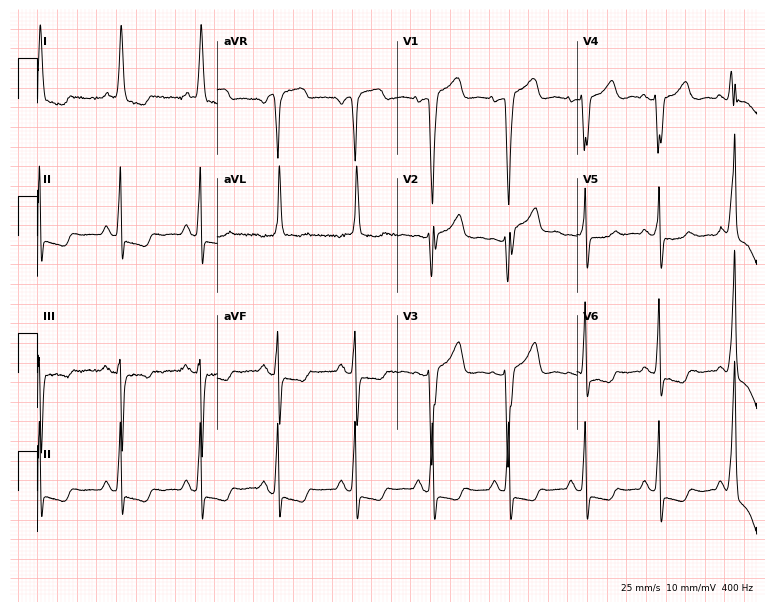
12-lead ECG (7.3-second recording at 400 Hz) from a 67-year-old woman. Findings include left bundle branch block.